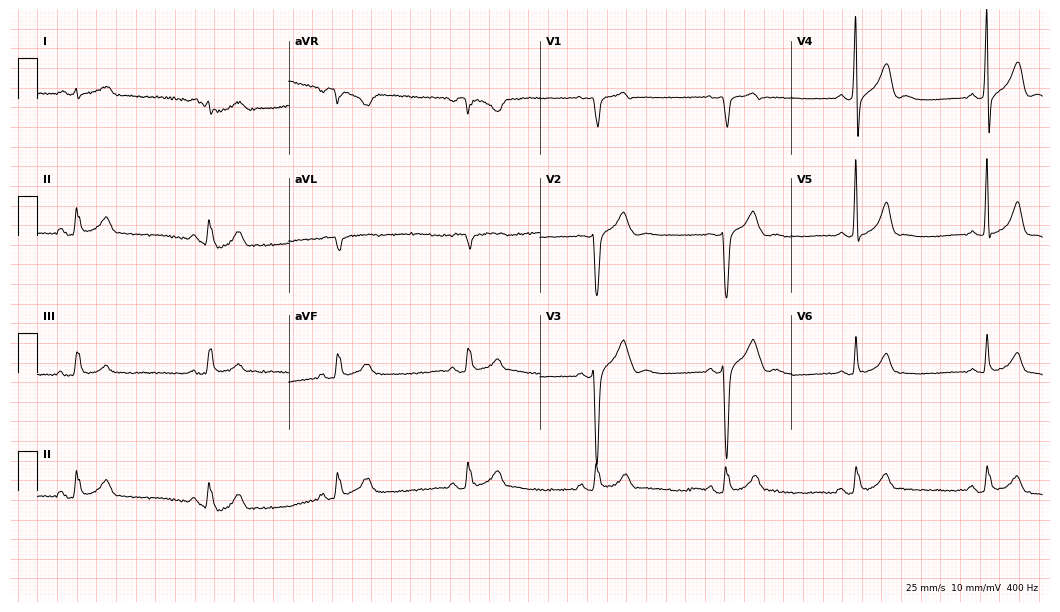
Resting 12-lead electrocardiogram. Patient: a 51-year-old man. The tracing shows sinus bradycardia (a sinus rate of 50 beats per minute or less).